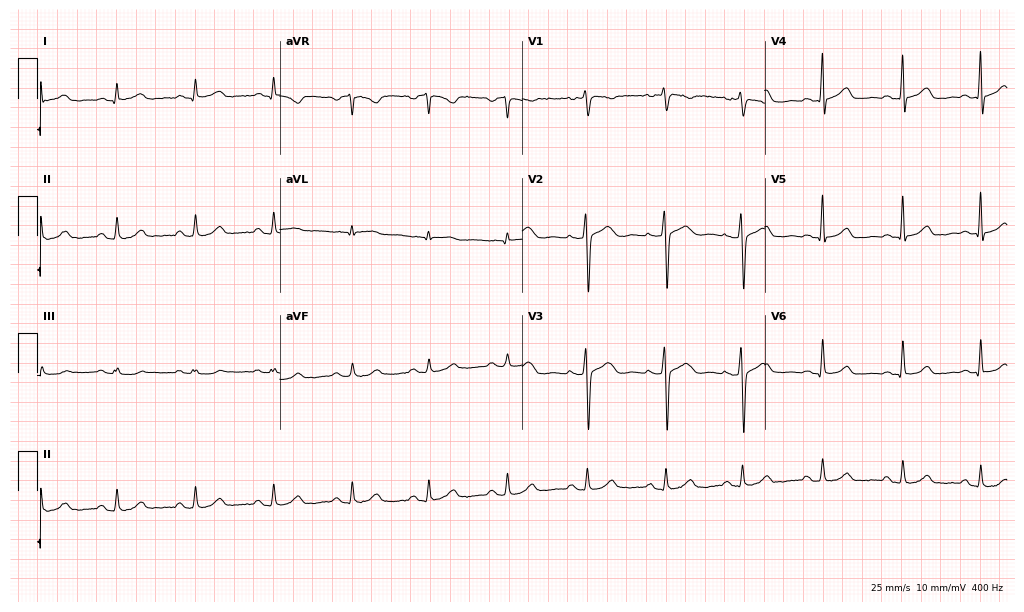
Electrocardiogram, a female patient, 46 years old. Of the six screened findings (first-degree AV block, right bundle branch block (RBBB), left bundle branch block (LBBB), sinus bradycardia, atrial fibrillation (AF), sinus tachycardia), none is recorded.